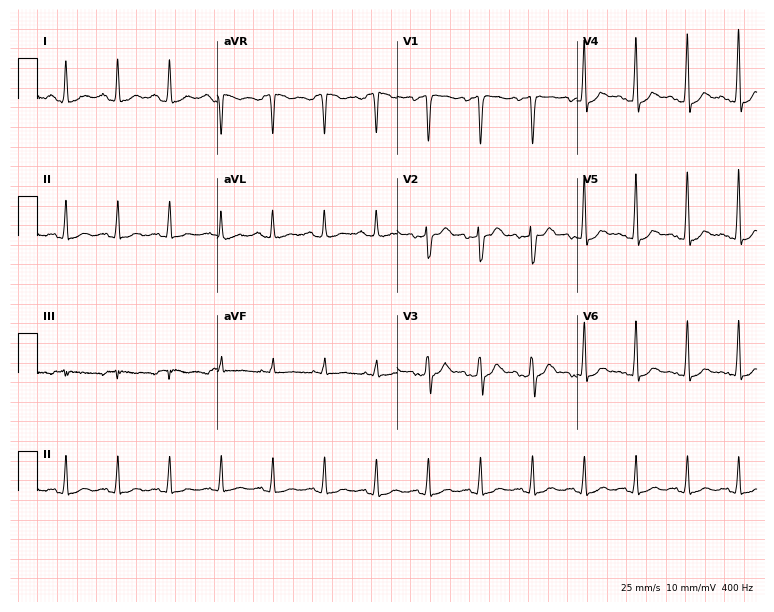
Resting 12-lead electrocardiogram. Patient: a 28-year-old male. The tracing shows sinus tachycardia (a sinus rate of 100 beats per minute or more).